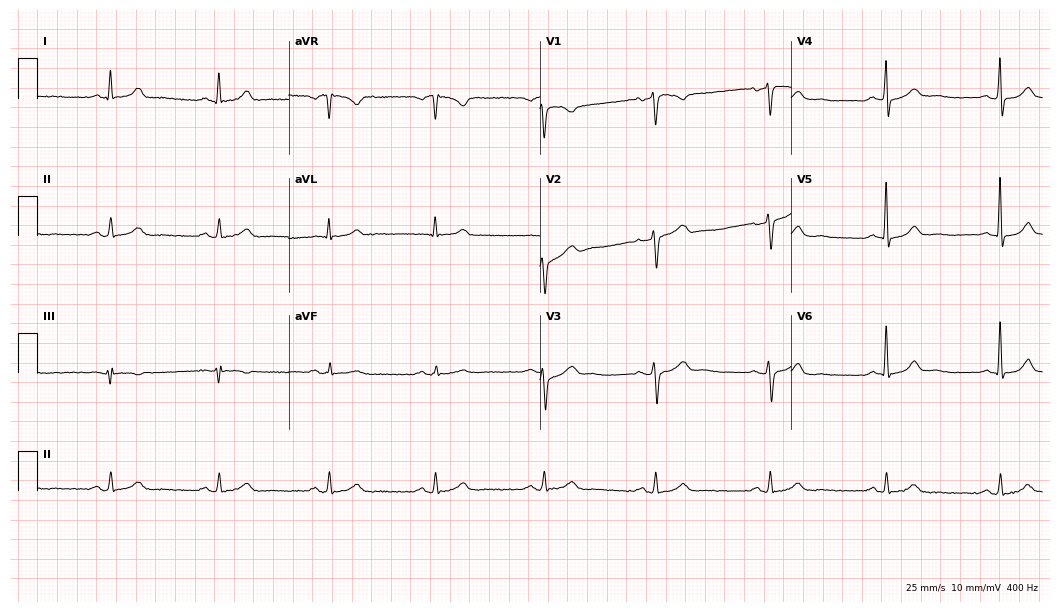
Resting 12-lead electrocardiogram (10.2-second recording at 400 Hz). Patient: a 72-year-old male. Read as a normal ECG.